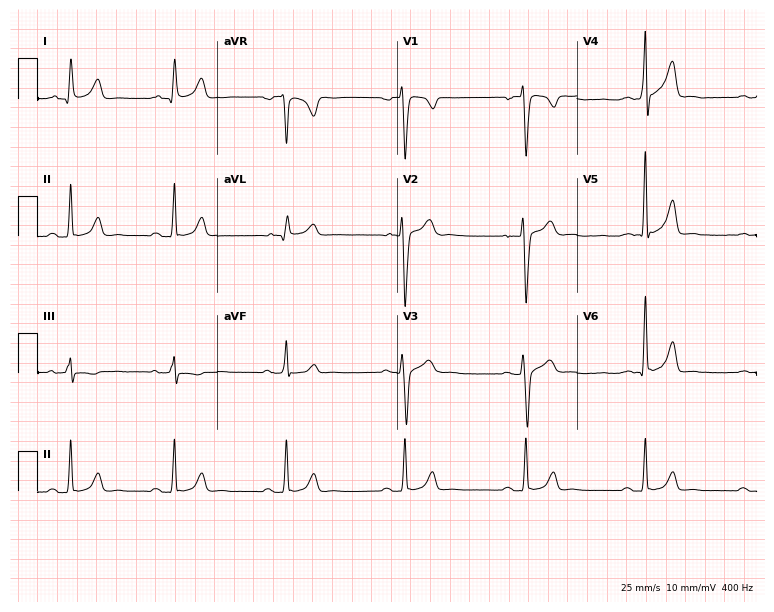
Resting 12-lead electrocardiogram. Patient: a male, 35 years old. None of these six findings is recorded: first-degree AV block, right bundle branch block, left bundle branch block, sinus bradycardia, atrial fibrillation, sinus tachycardia. Findings outside these six are not listed.